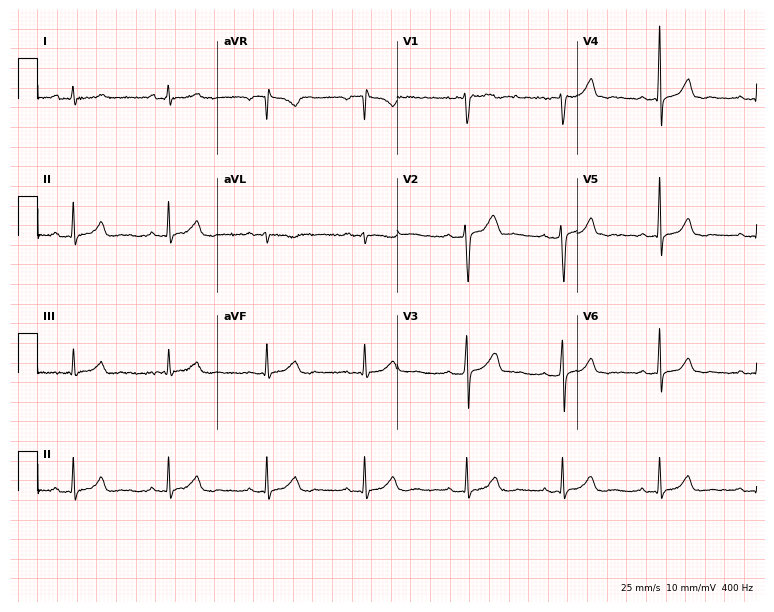
Resting 12-lead electrocardiogram (7.3-second recording at 400 Hz). Patient: a woman, 31 years old. None of these six findings is recorded: first-degree AV block, right bundle branch block, left bundle branch block, sinus bradycardia, atrial fibrillation, sinus tachycardia.